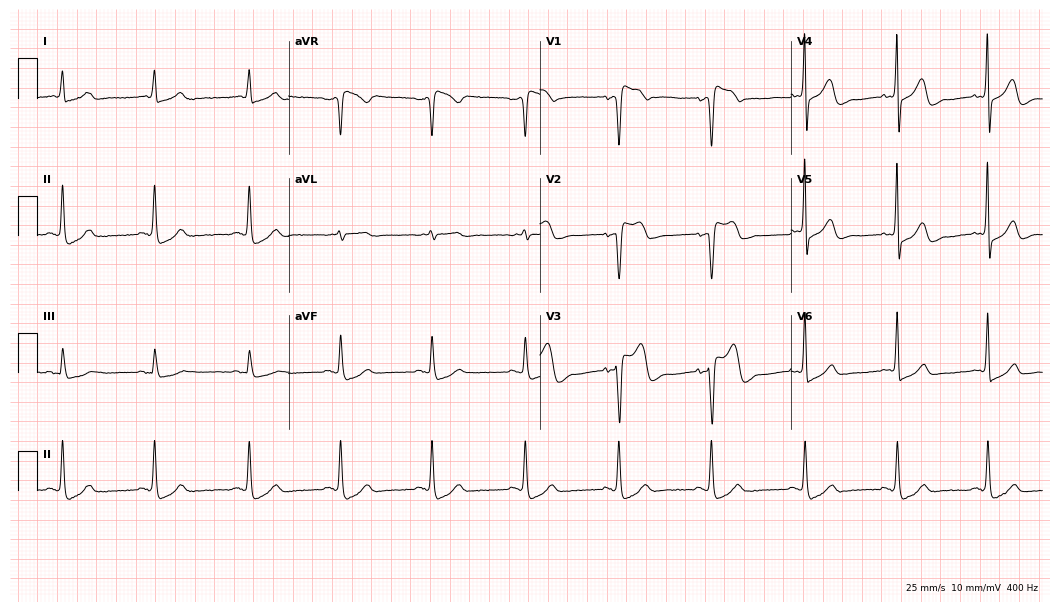
Electrocardiogram, a female, 76 years old. Of the six screened findings (first-degree AV block, right bundle branch block, left bundle branch block, sinus bradycardia, atrial fibrillation, sinus tachycardia), none is recorded. Only these six findings were labelled.